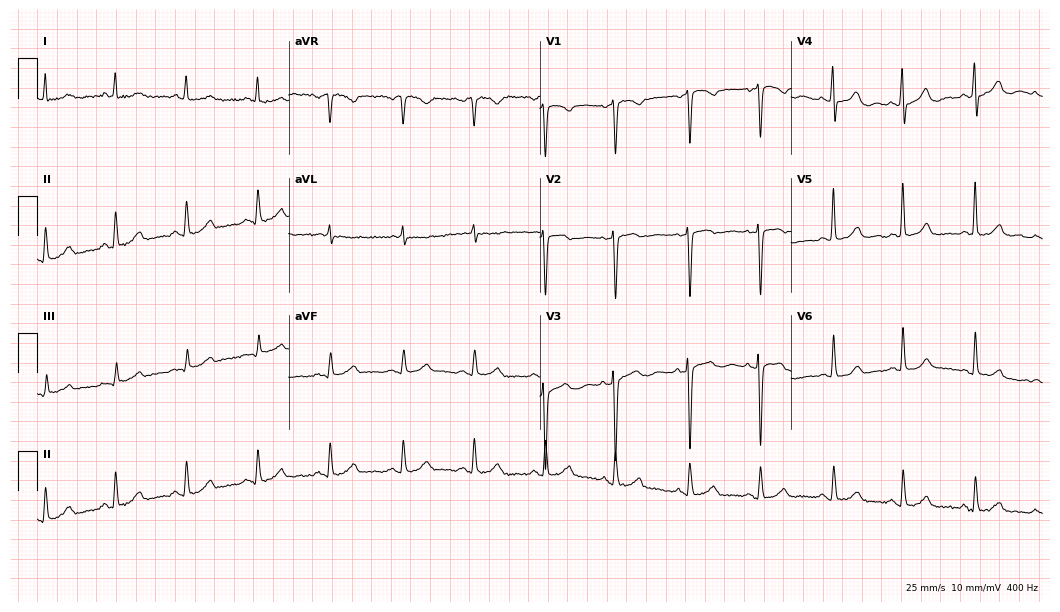
ECG — a female patient, 78 years old. Labelled as a normal ECG.